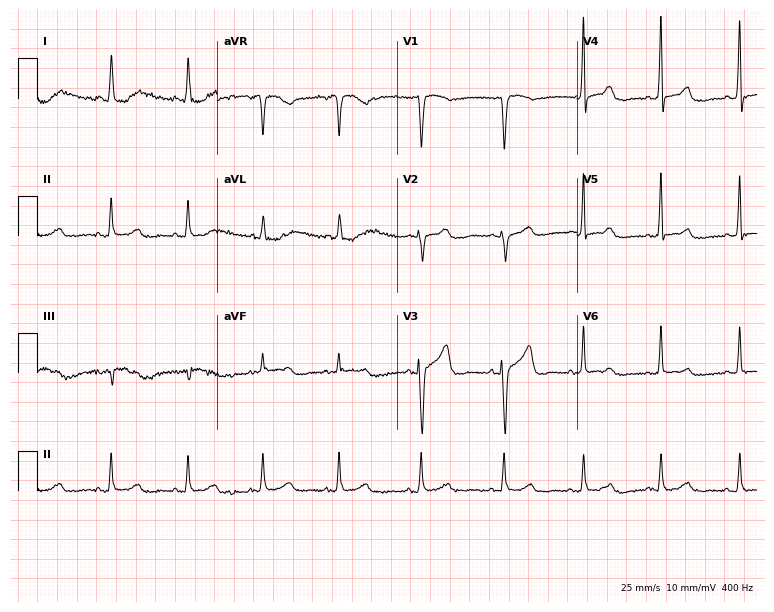
12-lead ECG from a woman, 58 years old. No first-degree AV block, right bundle branch block, left bundle branch block, sinus bradycardia, atrial fibrillation or sinus tachycardia recorded for this tracing. Other findings, if any, are not listed.